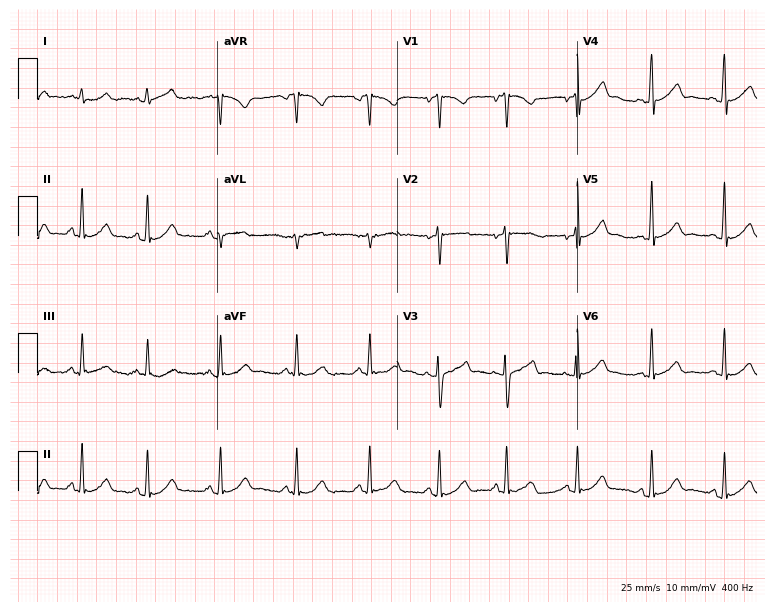
12-lead ECG from a female, 41 years old. Labelled as a normal ECG.